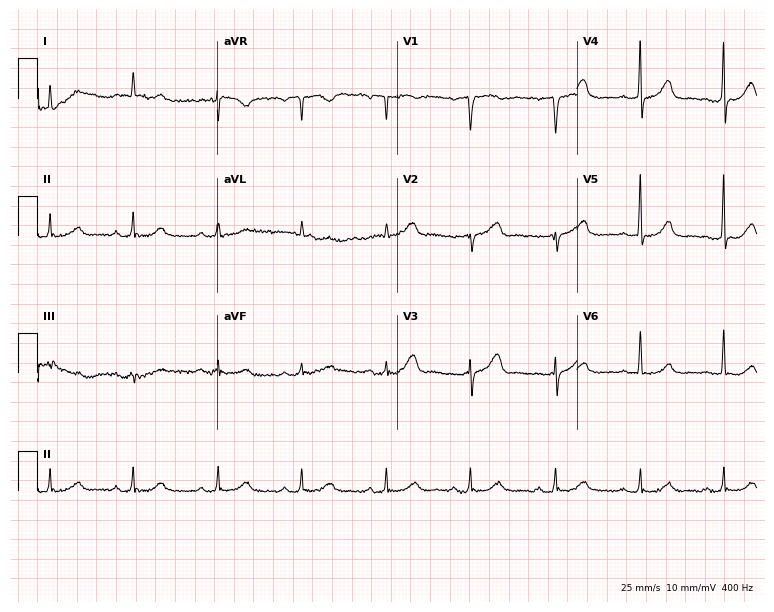
Standard 12-lead ECG recorded from a woman, 66 years old. Read as a normal ECG.